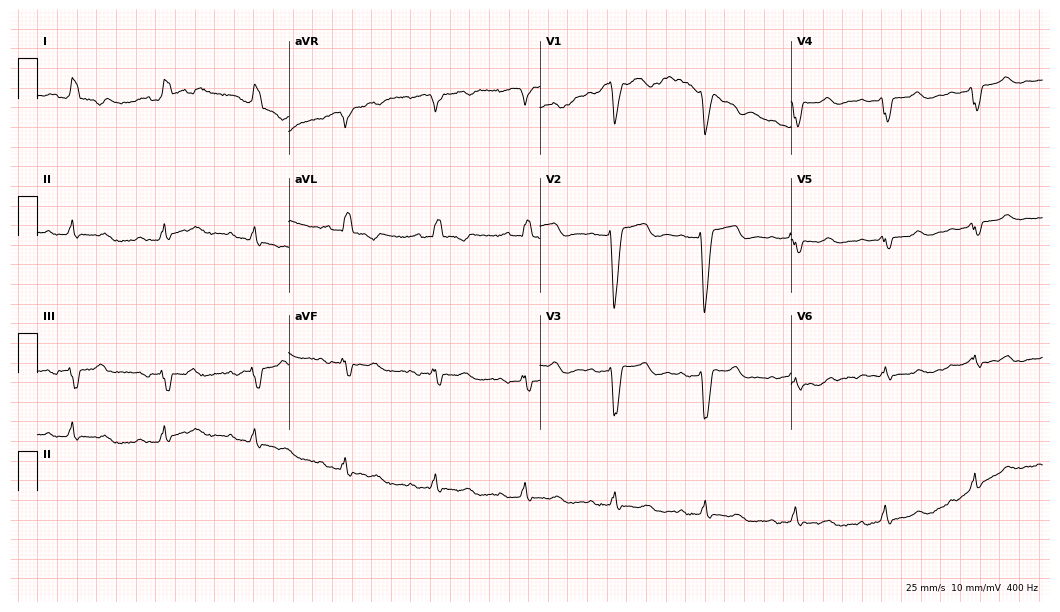
12-lead ECG from a 79-year-old woman. Screened for six findings — first-degree AV block, right bundle branch block, left bundle branch block, sinus bradycardia, atrial fibrillation, sinus tachycardia — none is recorded.